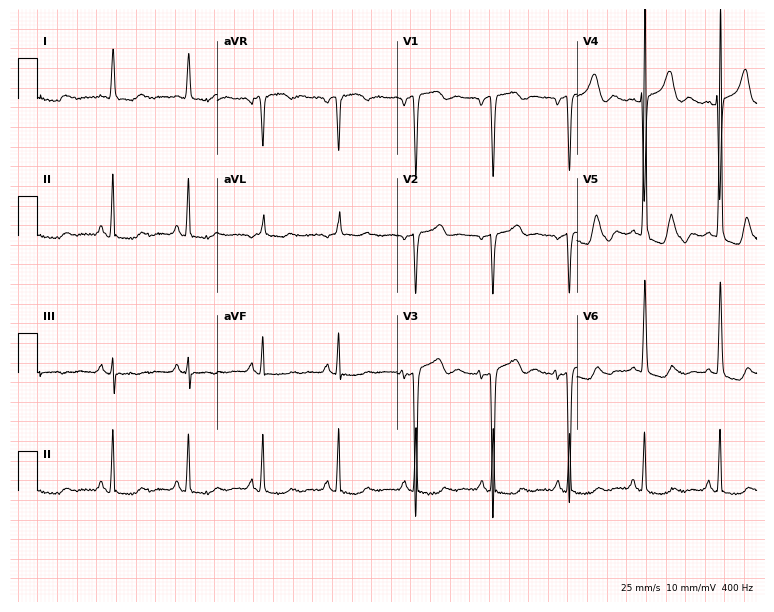
Electrocardiogram, a female patient, 64 years old. Of the six screened findings (first-degree AV block, right bundle branch block (RBBB), left bundle branch block (LBBB), sinus bradycardia, atrial fibrillation (AF), sinus tachycardia), none is recorded. Findings outside these six are not listed.